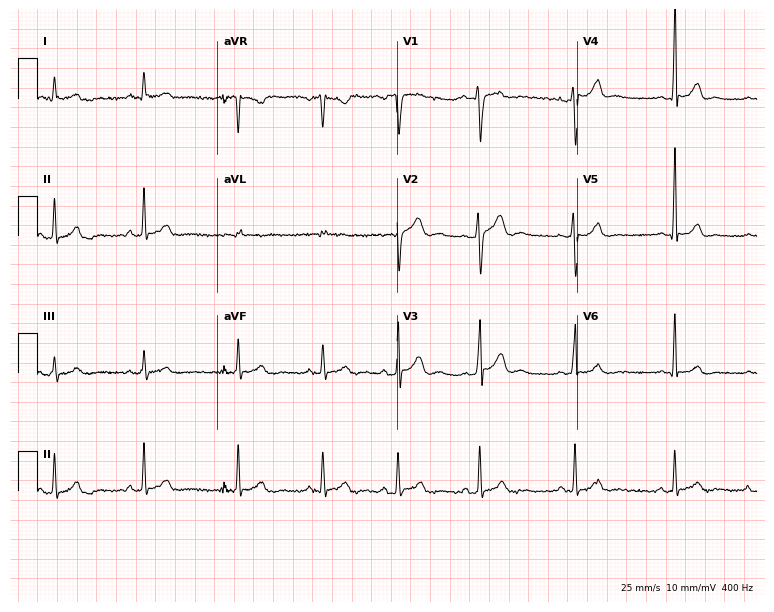
12-lead ECG from a man, 32 years old. Screened for six findings — first-degree AV block, right bundle branch block, left bundle branch block, sinus bradycardia, atrial fibrillation, sinus tachycardia — none is recorded. Findings outside these six are not listed.